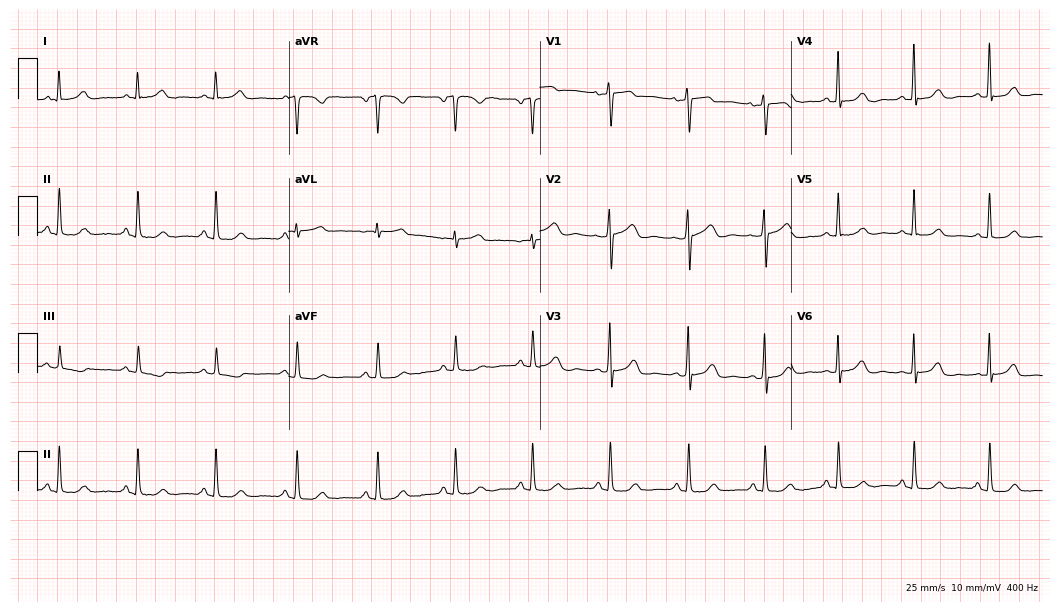
ECG — a 69-year-old female patient. Screened for six findings — first-degree AV block, right bundle branch block (RBBB), left bundle branch block (LBBB), sinus bradycardia, atrial fibrillation (AF), sinus tachycardia — none is recorded.